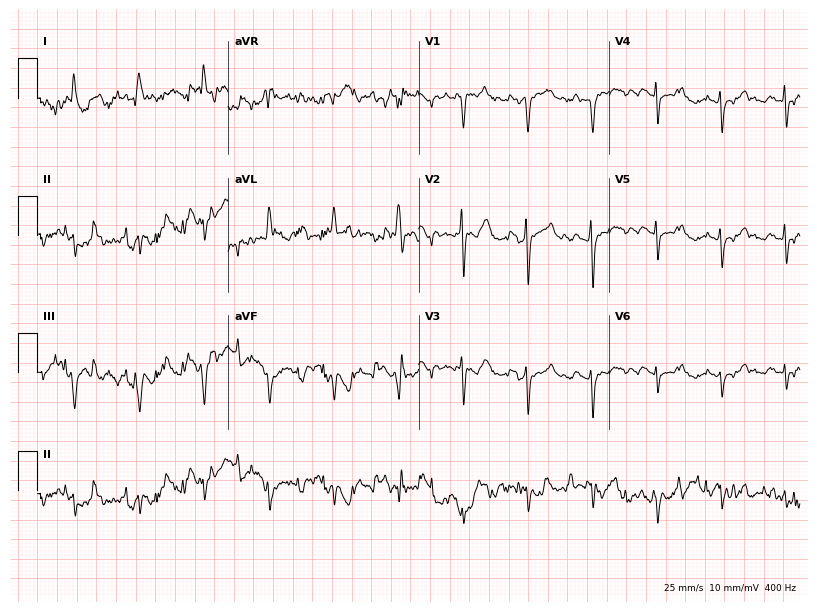
Standard 12-lead ECG recorded from an 82-year-old female. None of these six findings is recorded: first-degree AV block, right bundle branch block (RBBB), left bundle branch block (LBBB), sinus bradycardia, atrial fibrillation (AF), sinus tachycardia.